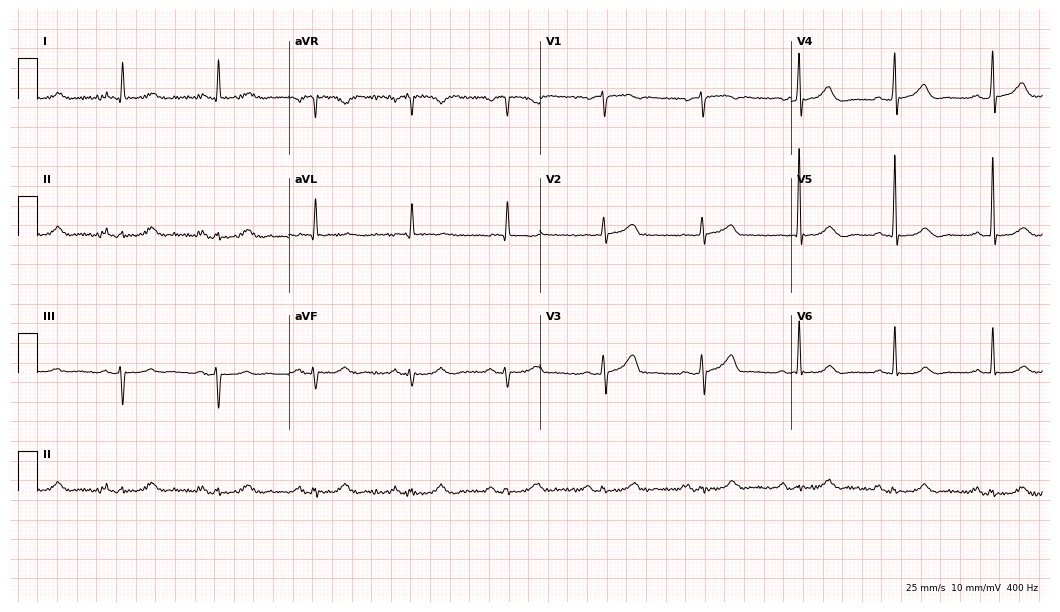
ECG — a 72-year-old man. Labelled as a normal ECG.